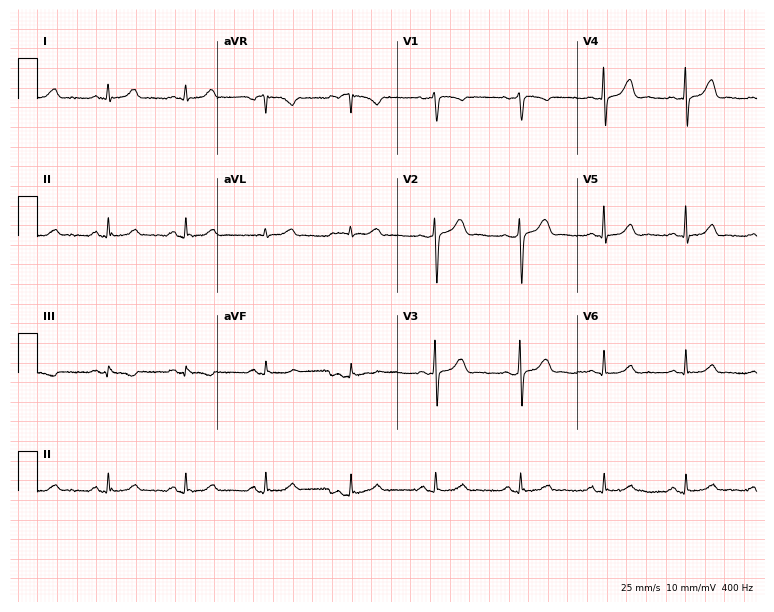
12-lead ECG from a female patient, 41 years old. Screened for six findings — first-degree AV block, right bundle branch block, left bundle branch block, sinus bradycardia, atrial fibrillation, sinus tachycardia — none is recorded.